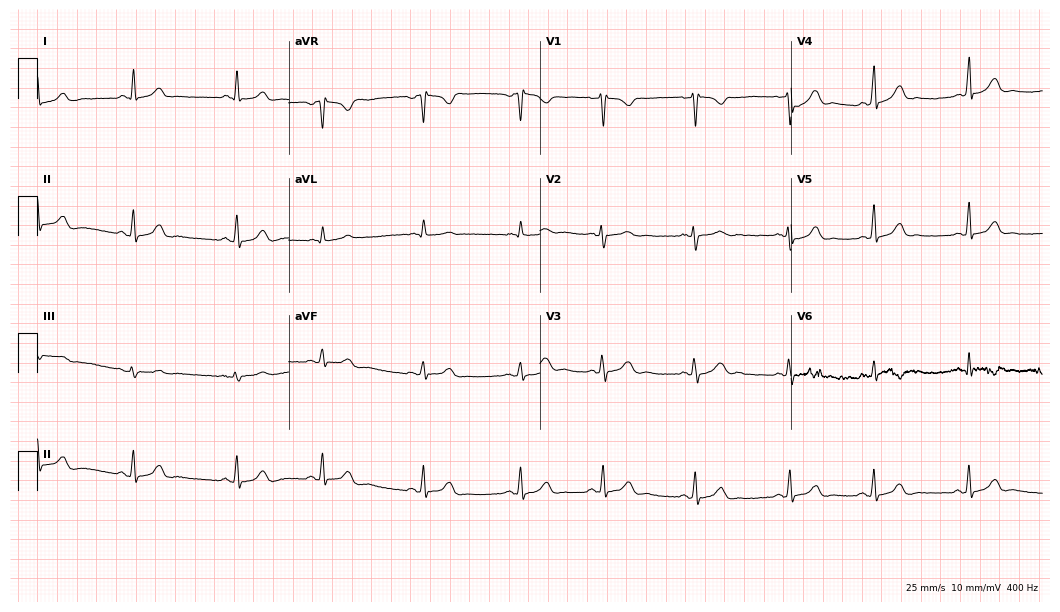
Standard 12-lead ECG recorded from a female patient, 21 years old. Read as a normal ECG.